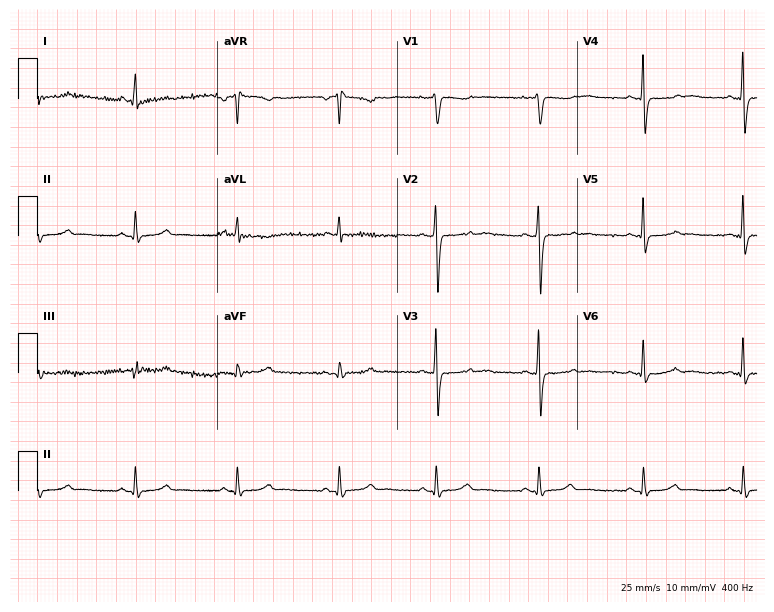
12-lead ECG (7.3-second recording at 400 Hz) from a 41-year-old woman. Screened for six findings — first-degree AV block, right bundle branch block (RBBB), left bundle branch block (LBBB), sinus bradycardia, atrial fibrillation (AF), sinus tachycardia — none is recorded.